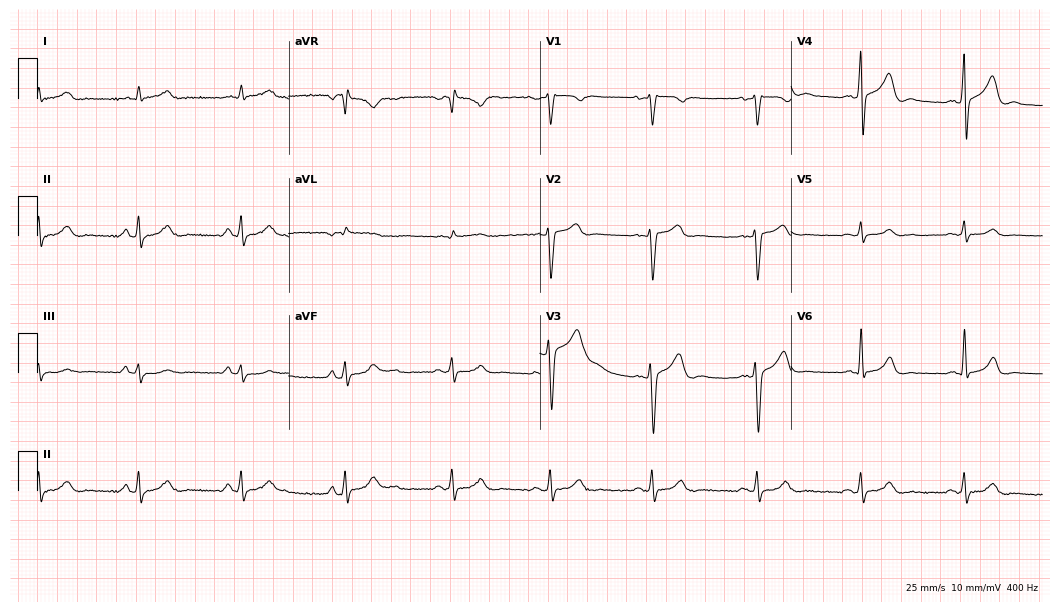
Standard 12-lead ECG recorded from a man, 47 years old. Read as a normal ECG.